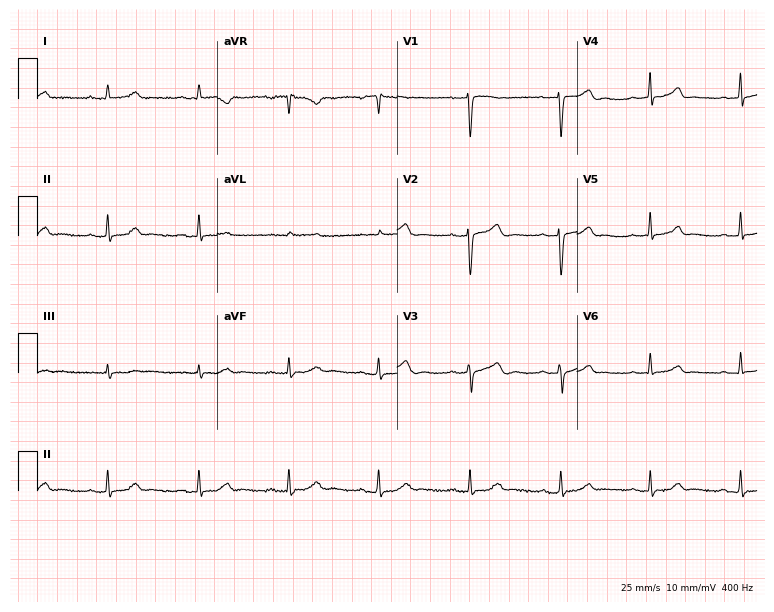
Resting 12-lead electrocardiogram. Patient: a 47-year-old female. Read as a normal ECG.